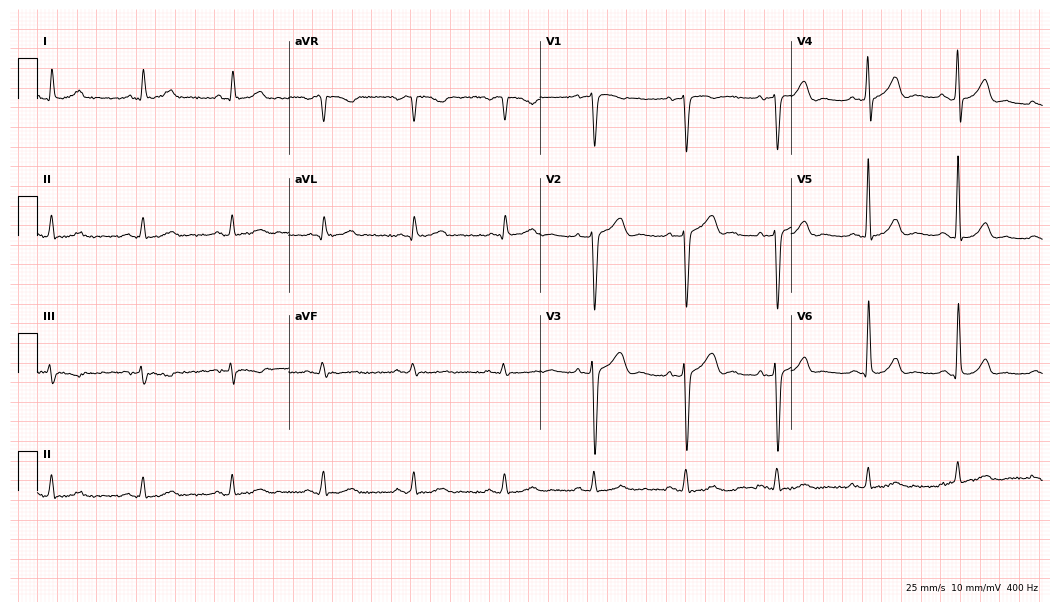
Resting 12-lead electrocardiogram (10.2-second recording at 400 Hz). Patient: a man, 68 years old. Read as a normal ECG.